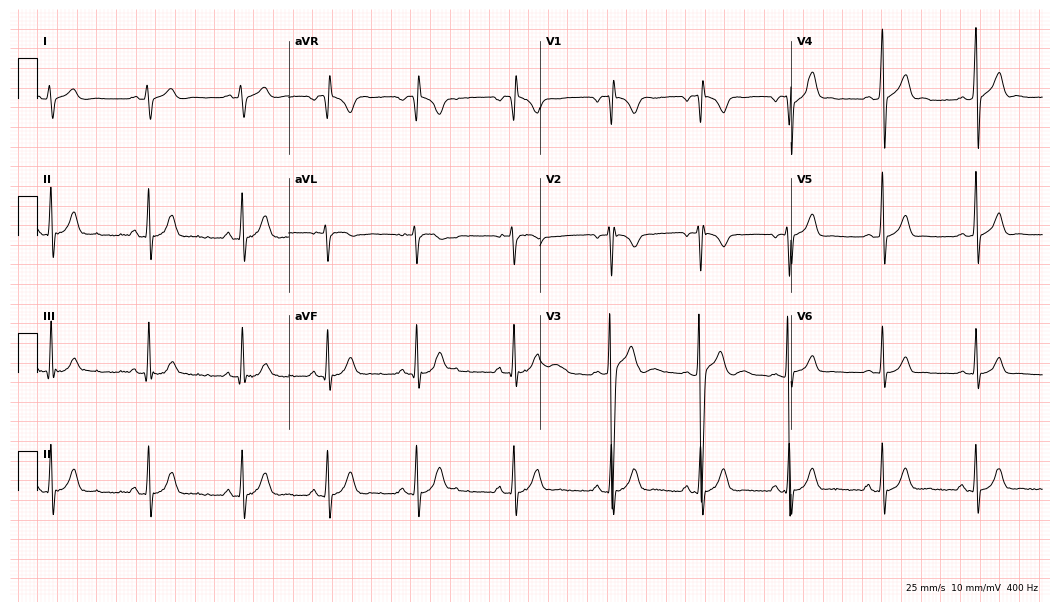
Resting 12-lead electrocardiogram. Patient: a male, 19 years old. None of these six findings is recorded: first-degree AV block, right bundle branch block, left bundle branch block, sinus bradycardia, atrial fibrillation, sinus tachycardia. Findings outside these six are not listed.